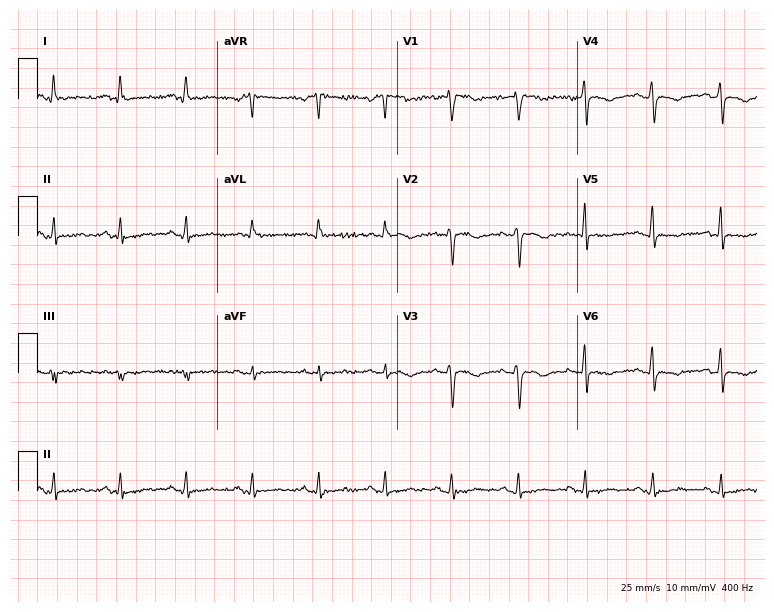
Electrocardiogram, a woman, 57 years old. Of the six screened findings (first-degree AV block, right bundle branch block, left bundle branch block, sinus bradycardia, atrial fibrillation, sinus tachycardia), none is recorded.